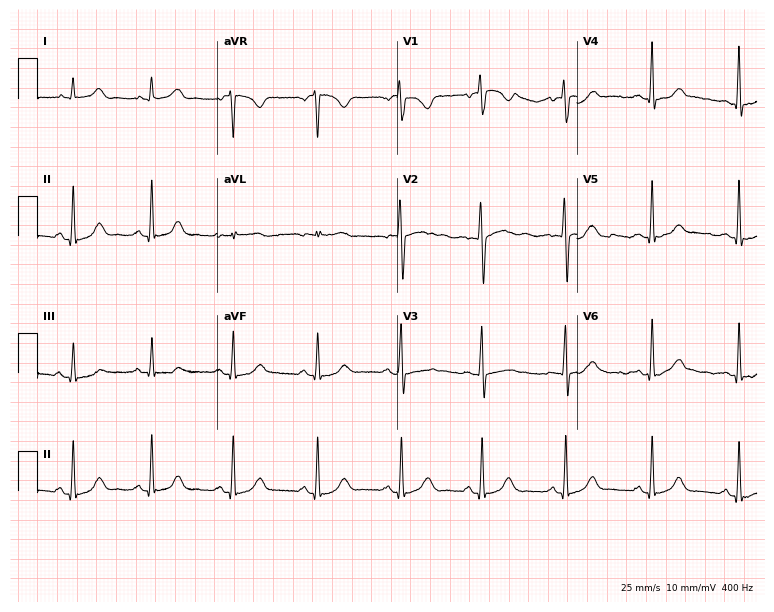
12-lead ECG (7.3-second recording at 400 Hz) from a 40-year-old female. Screened for six findings — first-degree AV block, right bundle branch block, left bundle branch block, sinus bradycardia, atrial fibrillation, sinus tachycardia — none is recorded. Only these six findings were labelled.